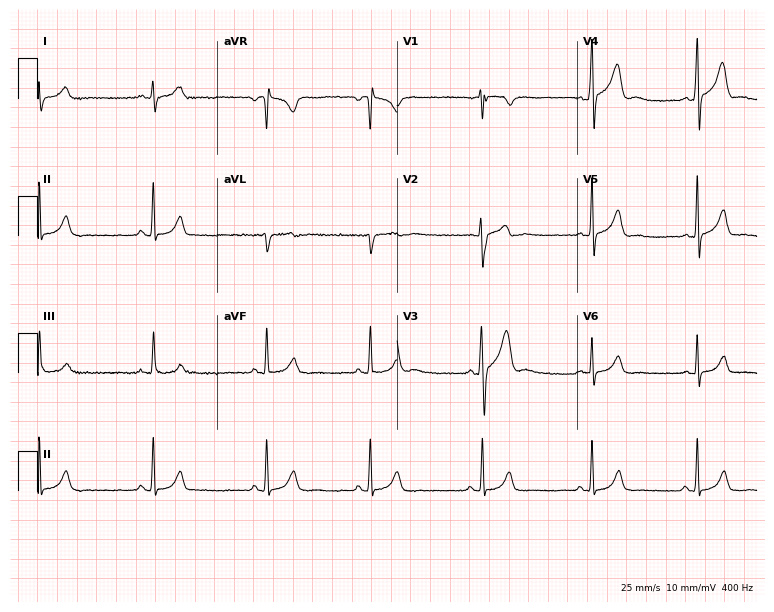
Resting 12-lead electrocardiogram (7.3-second recording at 400 Hz). Patient: a male, 23 years old. Read as a normal ECG.